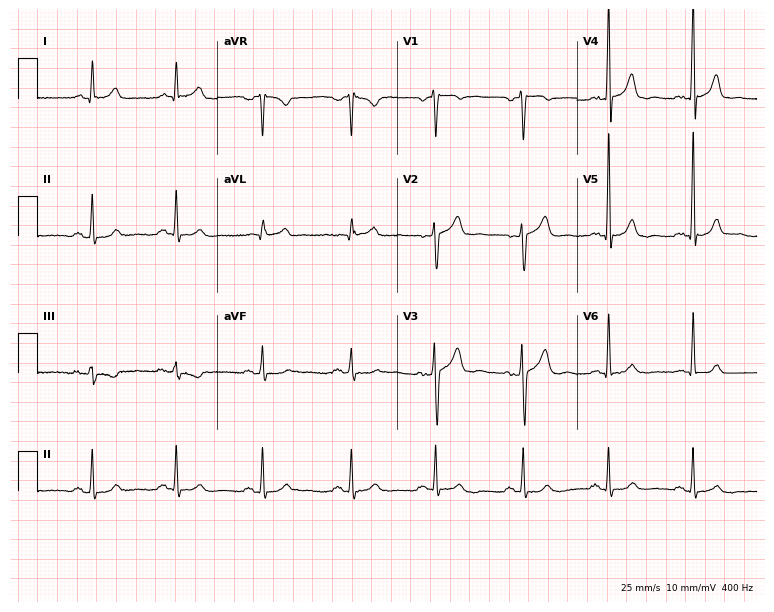
Electrocardiogram (7.3-second recording at 400 Hz), a 50-year-old man. Of the six screened findings (first-degree AV block, right bundle branch block, left bundle branch block, sinus bradycardia, atrial fibrillation, sinus tachycardia), none is recorded.